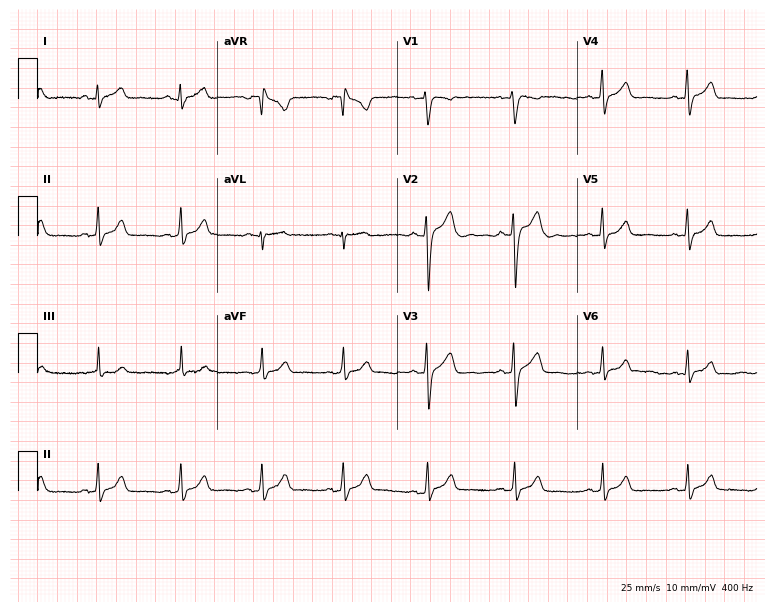
12-lead ECG from a 28-year-old woman. Screened for six findings — first-degree AV block, right bundle branch block (RBBB), left bundle branch block (LBBB), sinus bradycardia, atrial fibrillation (AF), sinus tachycardia — none is recorded.